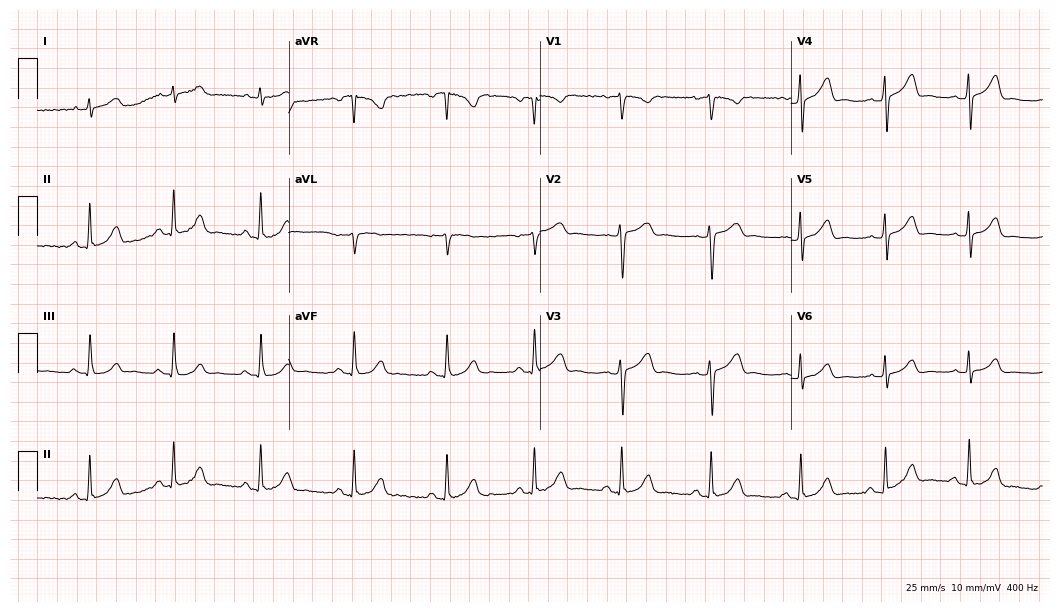
Resting 12-lead electrocardiogram. Patient: a 34-year-old woman. Read as a normal ECG.